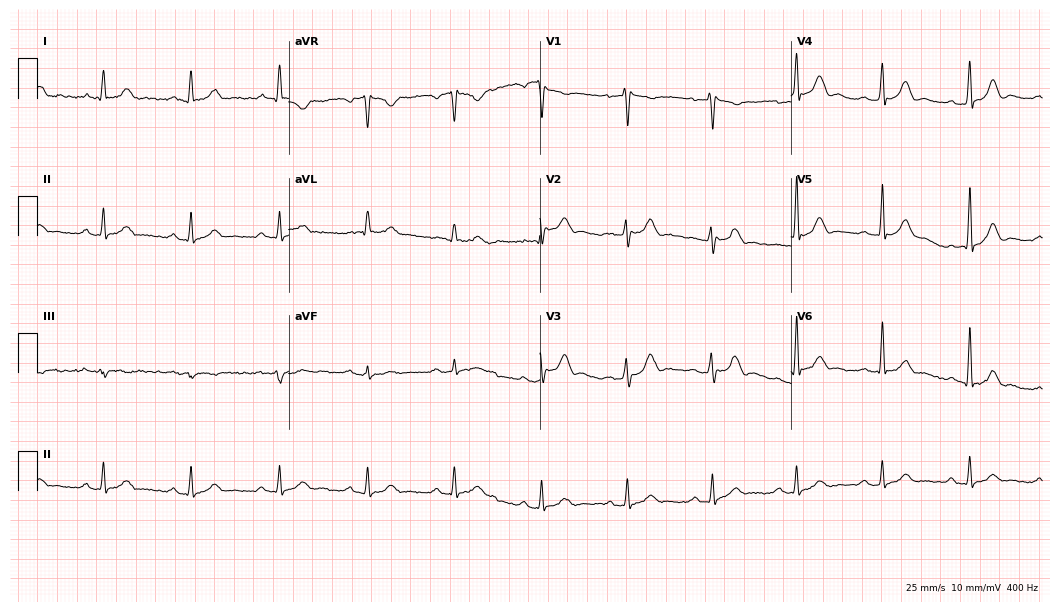
Resting 12-lead electrocardiogram (10.2-second recording at 400 Hz). Patient: a man, 38 years old. Read as a normal ECG.